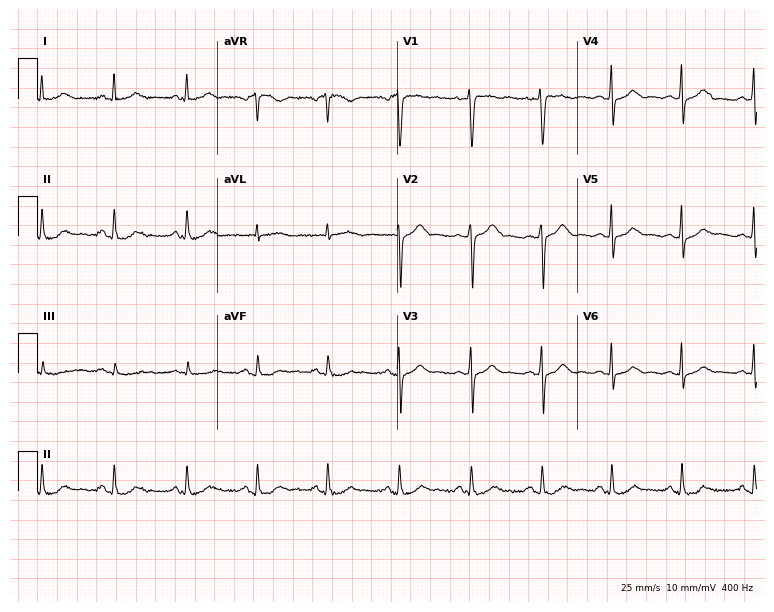
Resting 12-lead electrocardiogram. Patient: a 36-year-old female. Read as a normal ECG.